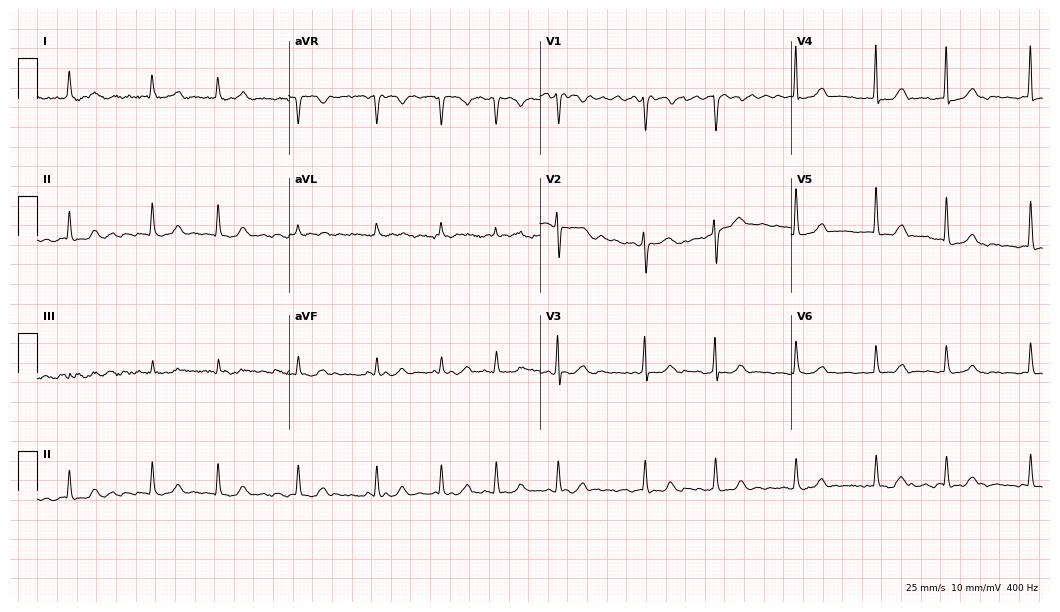
ECG — a female patient, 80 years old. Findings include atrial fibrillation.